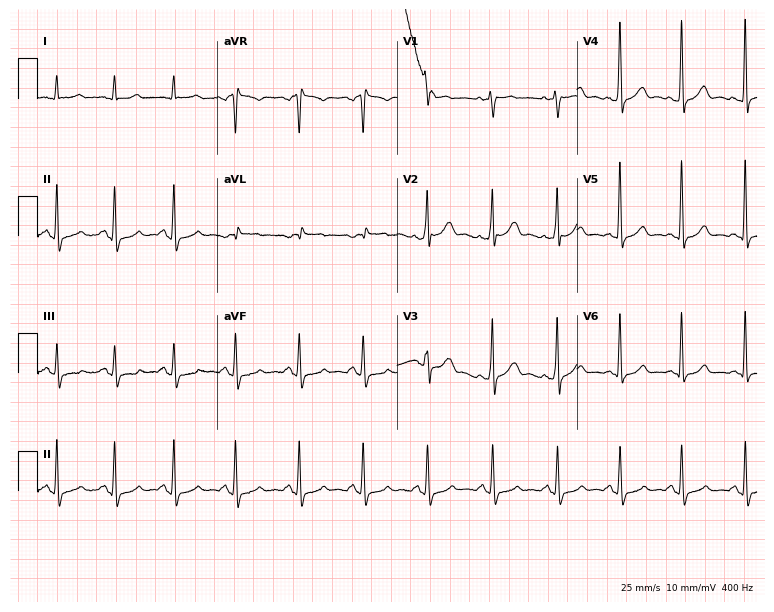
Resting 12-lead electrocardiogram. Patient: a 45-year-old female. None of these six findings is recorded: first-degree AV block, right bundle branch block, left bundle branch block, sinus bradycardia, atrial fibrillation, sinus tachycardia. Only these six findings were labelled.